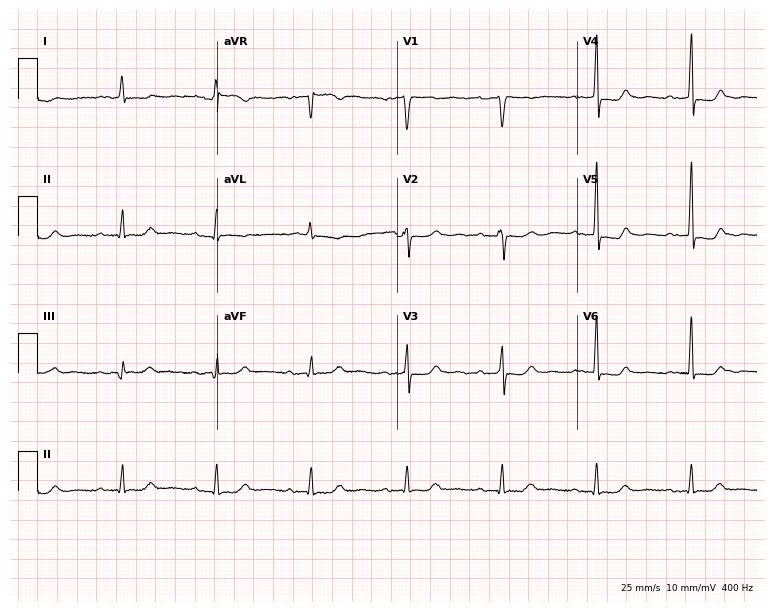
Electrocardiogram, a 65-year-old female patient. Overall reading on record: normal ECG.